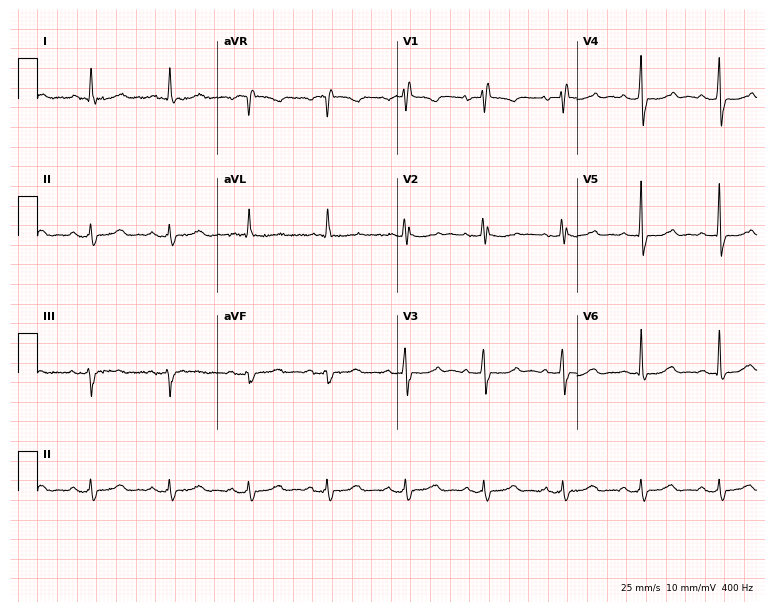
Electrocardiogram, a woman, 76 years old. Of the six screened findings (first-degree AV block, right bundle branch block (RBBB), left bundle branch block (LBBB), sinus bradycardia, atrial fibrillation (AF), sinus tachycardia), none is recorded. Only these six findings were labelled.